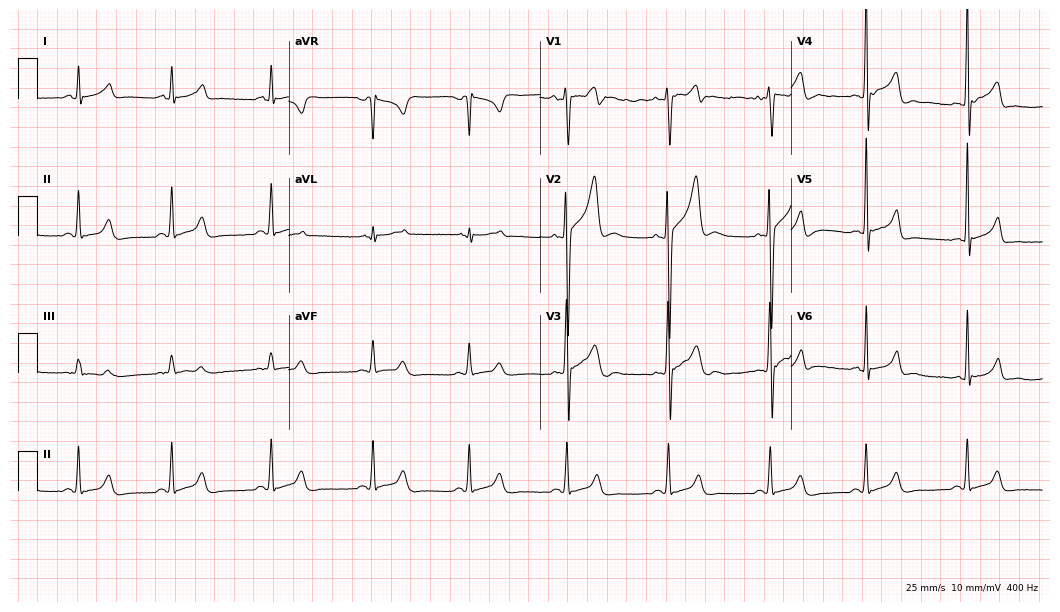
Resting 12-lead electrocardiogram. Patient: a 21-year-old man. None of these six findings is recorded: first-degree AV block, right bundle branch block (RBBB), left bundle branch block (LBBB), sinus bradycardia, atrial fibrillation (AF), sinus tachycardia. Other findings, if any, are not listed.